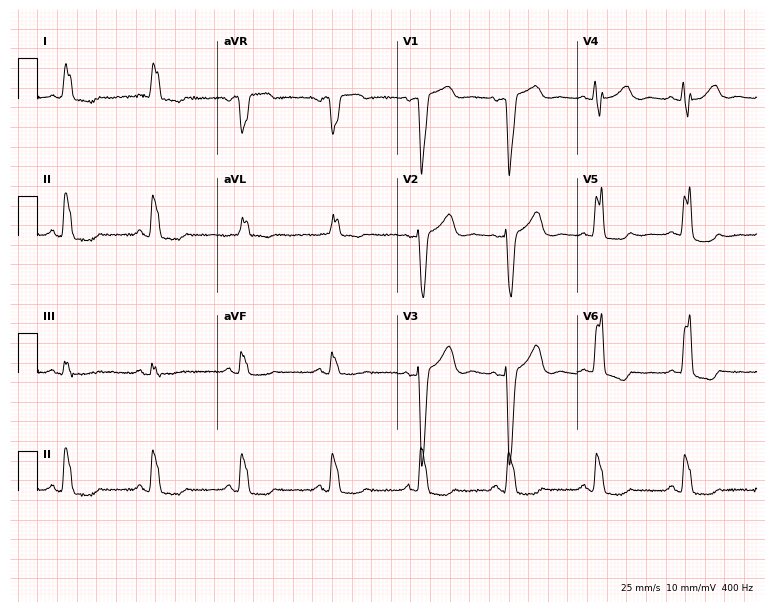
12-lead ECG from a female, 79 years old. Shows left bundle branch block (LBBB).